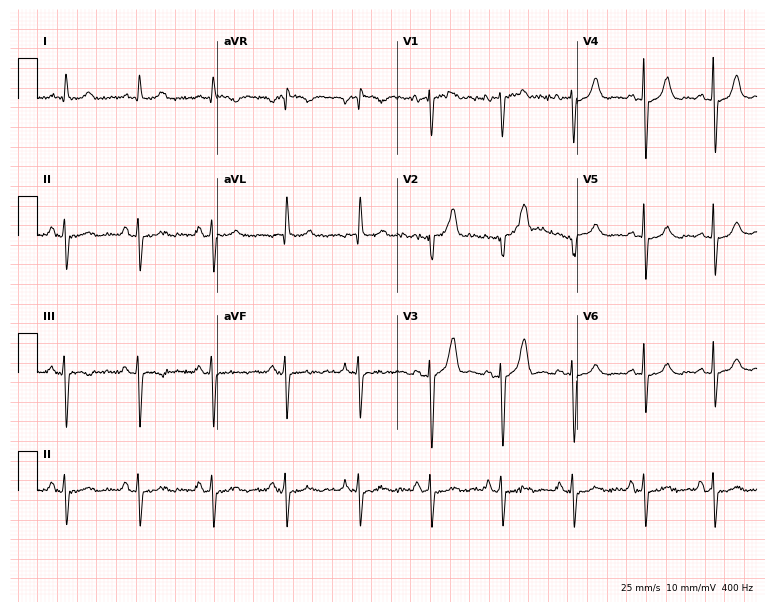
Electrocardiogram, an 84-year-old man. Of the six screened findings (first-degree AV block, right bundle branch block (RBBB), left bundle branch block (LBBB), sinus bradycardia, atrial fibrillation (AF), sinus tachycardia), none is recorded. Findings outside these six are not listed.